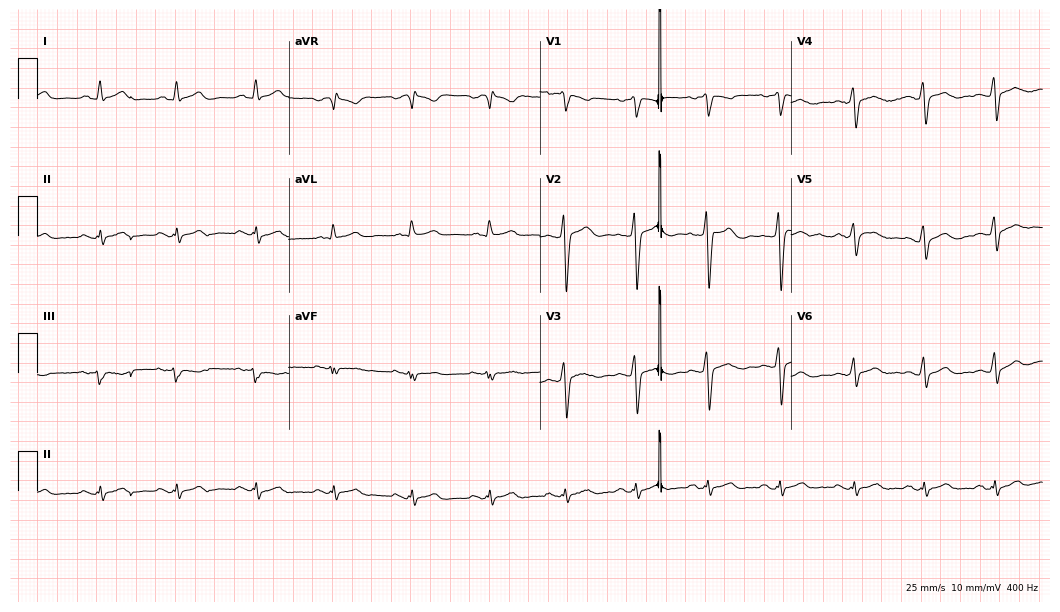
Resting 12-lead electrocardiogram (10.2-second recording at 400 Hz). Patient: a 32-year-old male. None of these six findings is recorded: first-degree AV block, right bundle branch block, left bundle branch block, sinus bradycardia, atrial fibrillation, sinus tachycardia.